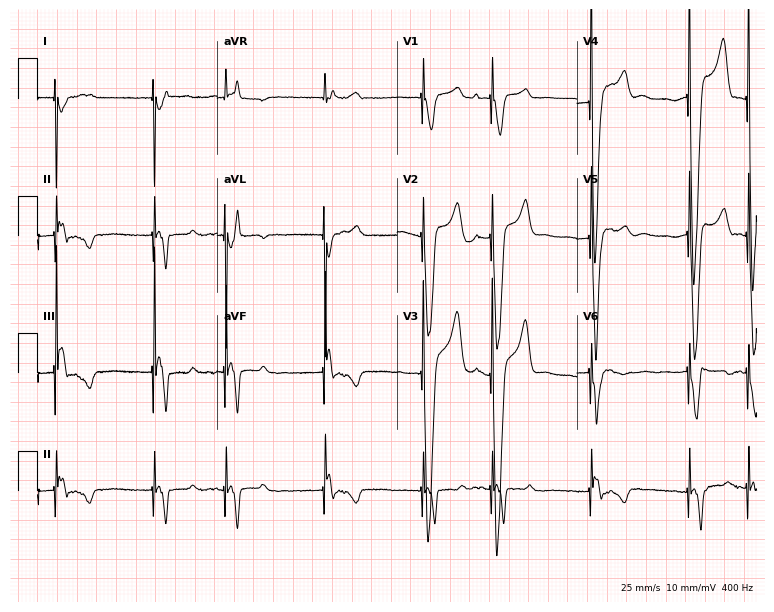
Resting 12-lead electrocardiogram. Patient: a 25-year-old male. None of these six findings is recorded: first-degree AV block, right bundle branch block, left bundle branch block, sinus bradycardia, atrial fibrillation, sinus tachycardia. Only these six findings were labelled.